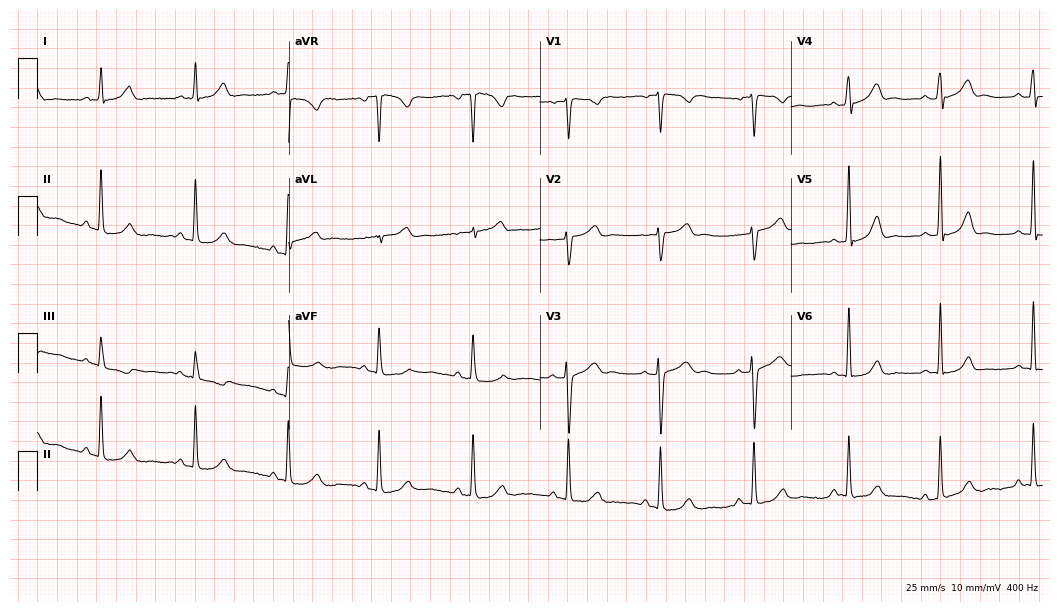
Resting 12-lead electrocardiogram (10.2-second recording at 400 Hz). Patient: a 47-year-old female. Read as a normal ECG.